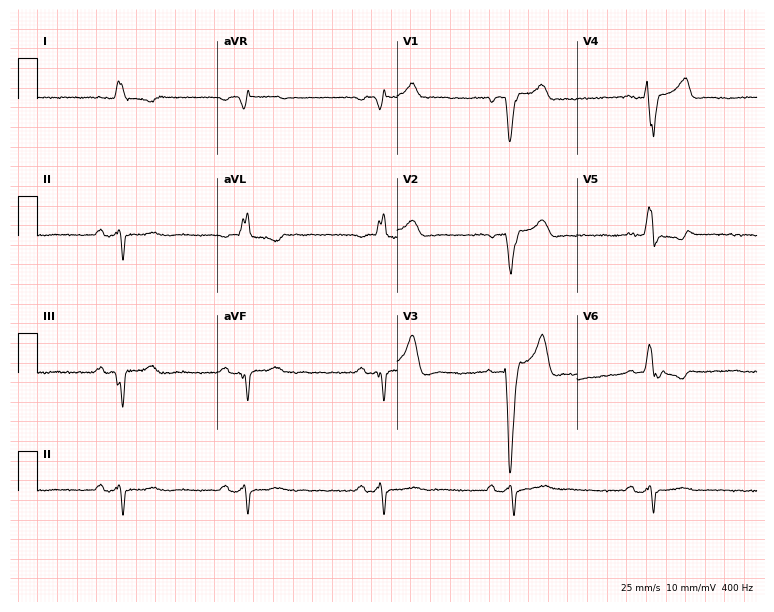
Standard 12-lead ECG recorded from a 67-year-old male (7.3-second recording at 400 Hz). The tracing shows left bundle branch block, sinus bradycardia (a sinus rate of 50 beats per minute or less).